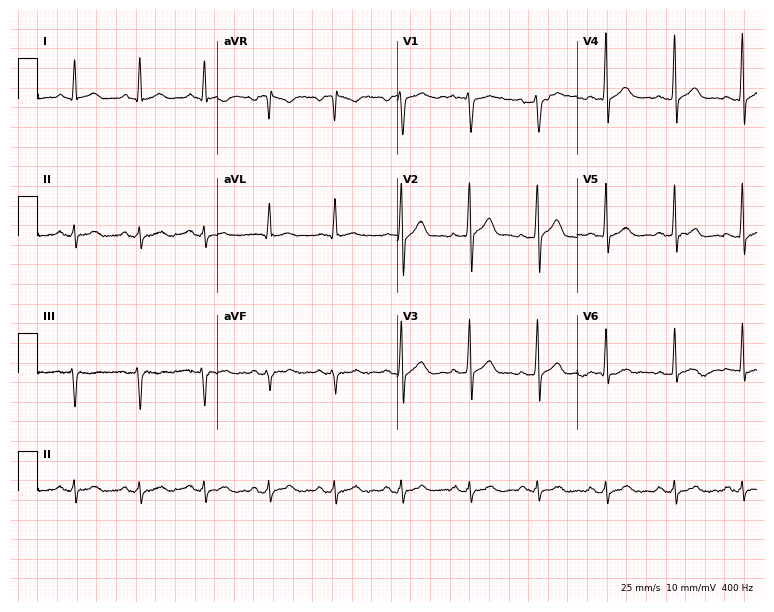
ECG (7.3-second recording at 400 Hz) — a man, 56 years old. Screened for six findings — first-degree AV block, right bundle branch block (RBBB), left bundle branch block (LBBB), sinus bradycardia, atrial fibrillation (AF), sinus tachycardia — none is recorded.